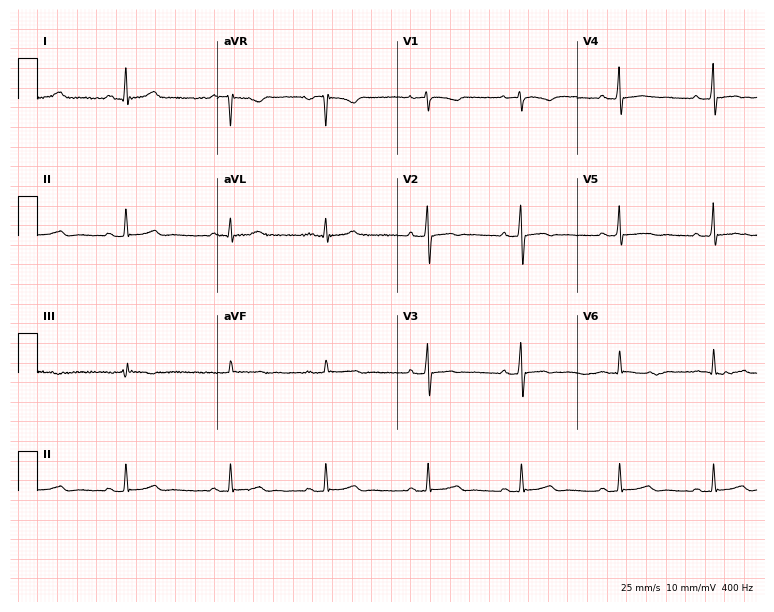
ECG — a 27-year-old woman. Screened for six findings — first-degree AV block, right bundle branch block, left bundle branch block, sinus bradycardia, atrial fibrillation, sinus tachycardia — none is recorded. Findings outside these six are not listed.